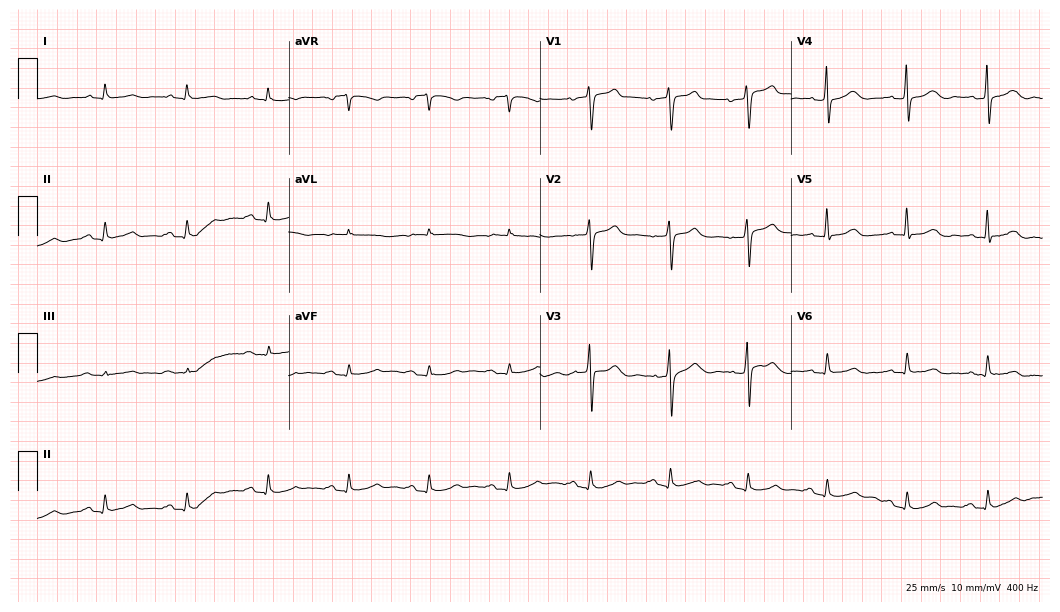
12-lead ECG from a male patient, 78 years old (10.2-second recording at 400 Hz). Recorded interpretation: within normal limits.